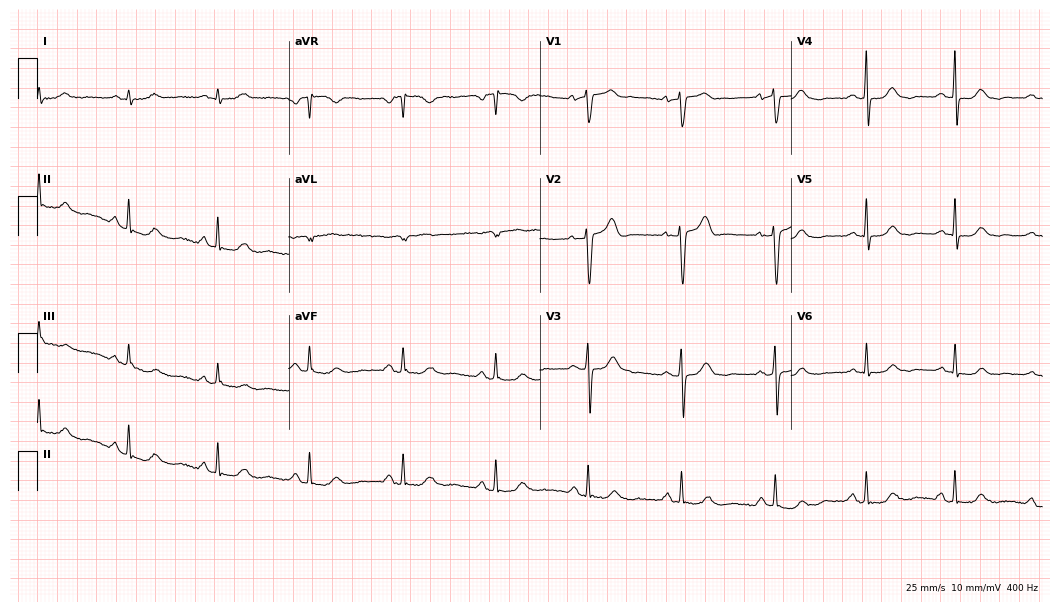
Electrocardiogram (10.2-second recording at 400 Hz), a female patient, 64 years old. Overall reading on record: normal ECG.